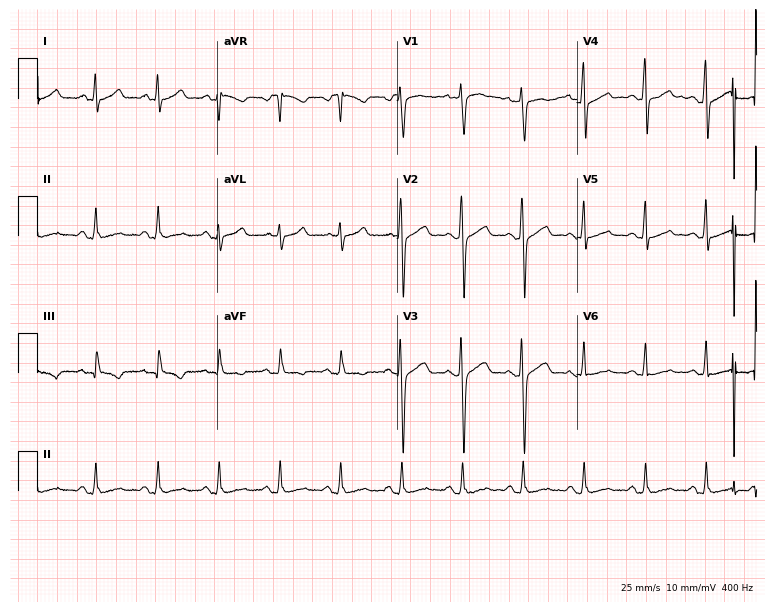
Standard 12-lead ECG recorded from a 30-year-old male patient (7.3-second recording at 400 Hz). None of these six findings is recorded: first-degree AV block, right bundle branch block (RBBB), left bundle branch block (LBBB), sinus bradycardia, atrial fibrillation (AF), sinus tachycardia.